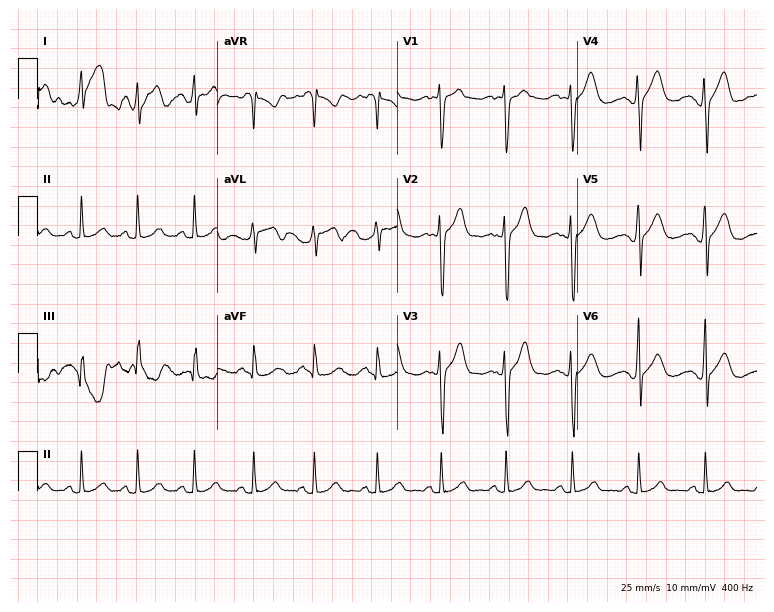
Standard 12-lead ECG recorded from a 25-year-old man (7.3-second recording at 400 Hz). Read as a normal ECG.